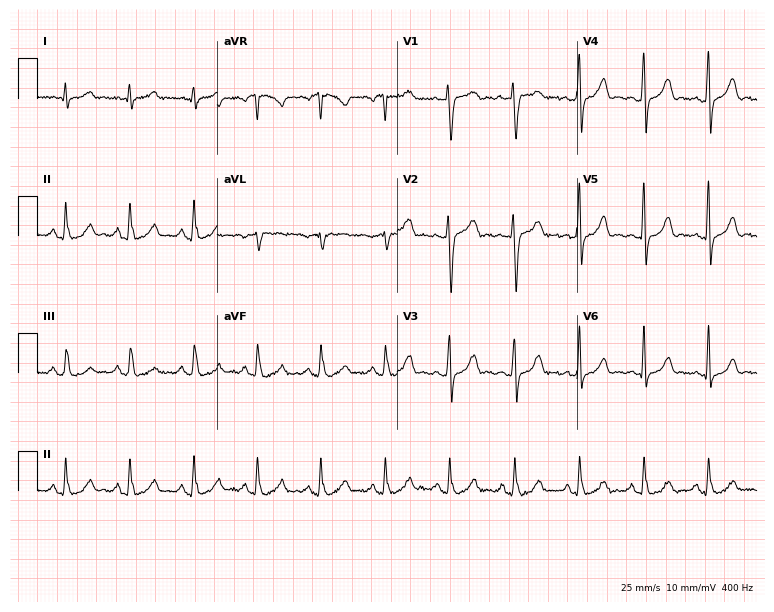
ECG (7.3-second recording at 400 Hz) — a man, 46 years old. Labelled as a normal ECG.